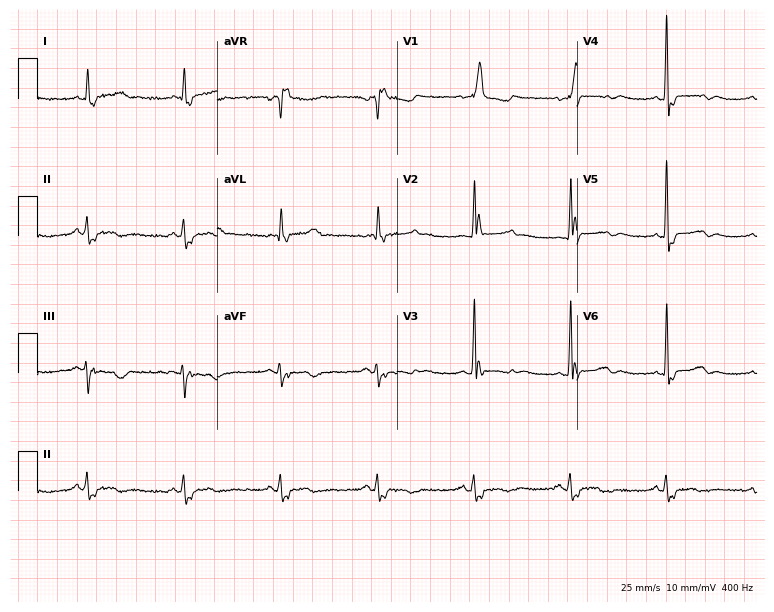
Resting 12-lead electrocardiogram. Patient: a 67-year-old female. The tracing shows right bundle branch block (RBBB).